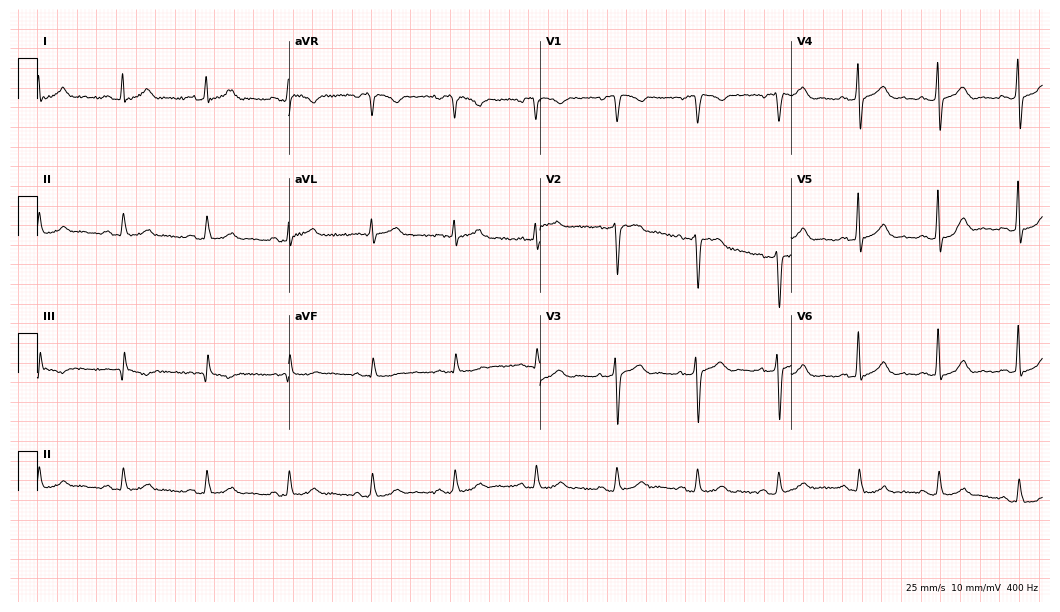
12-lead ECG from a male patient, 62 years old. Labelled as a normal ECG.